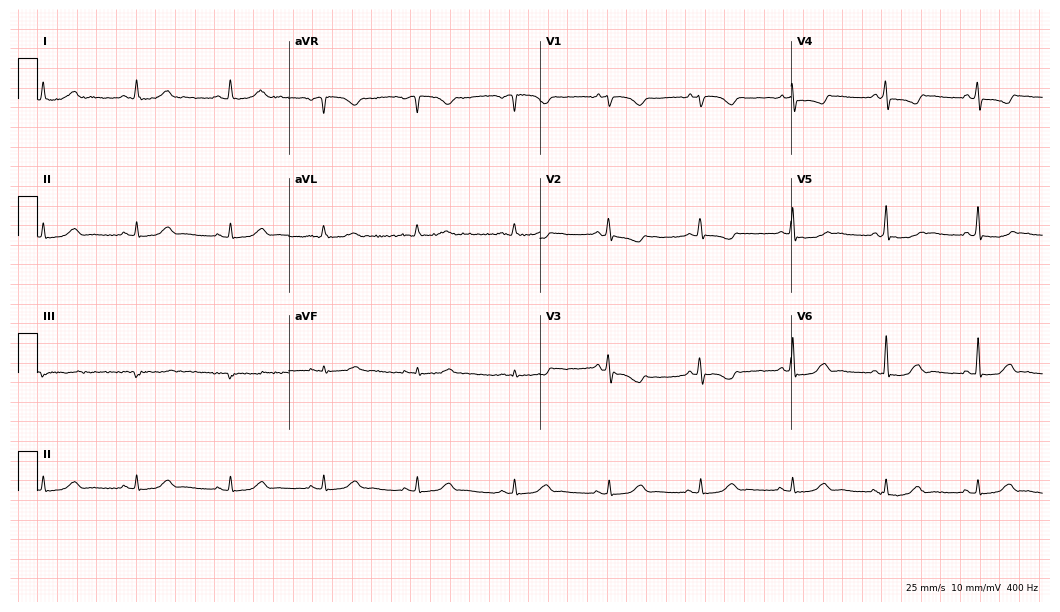
12-lead ECG from a female patient, 39 years old. Recorded interpretation: within normal limits.